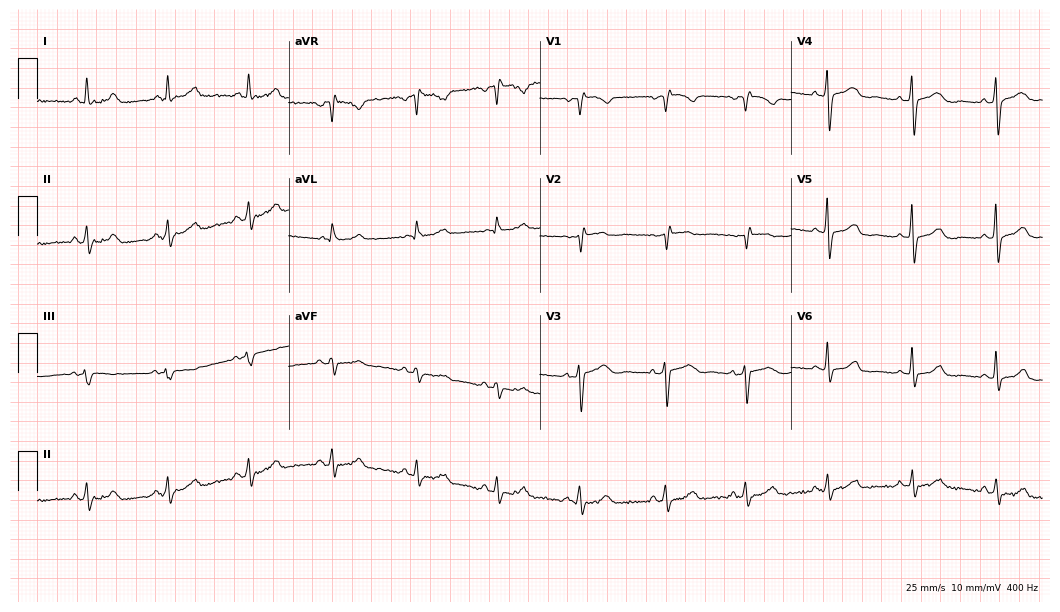
Standard 12-lead ECG recorded from a 57-year-old woman (10.2-second recording at 400 Hz). None of these six findings is recorded: first-degree AV block, right bundle branch block, left bundle branch block, sinus bradycardia, atrial fibrillation, sinus tachycardia.